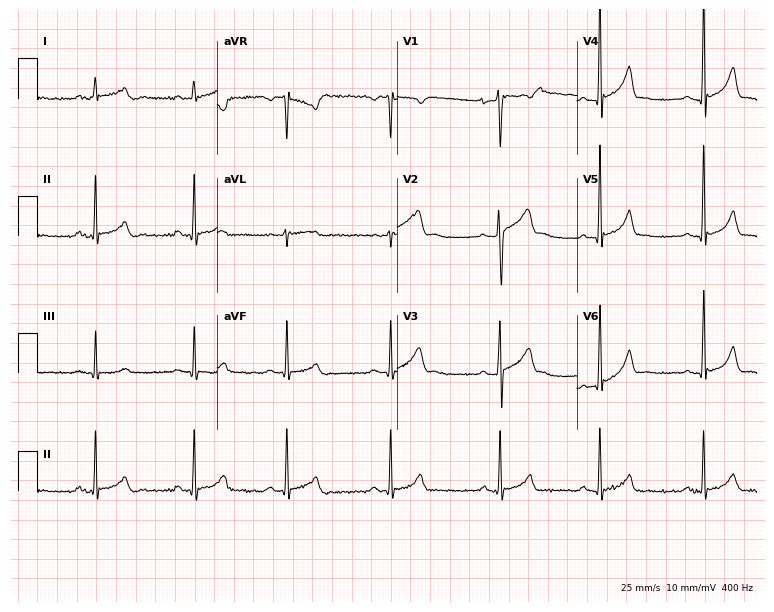
Resting 12-lead electrocardiogram. Patient: a 20-year-old male. Read as a normal ECG.